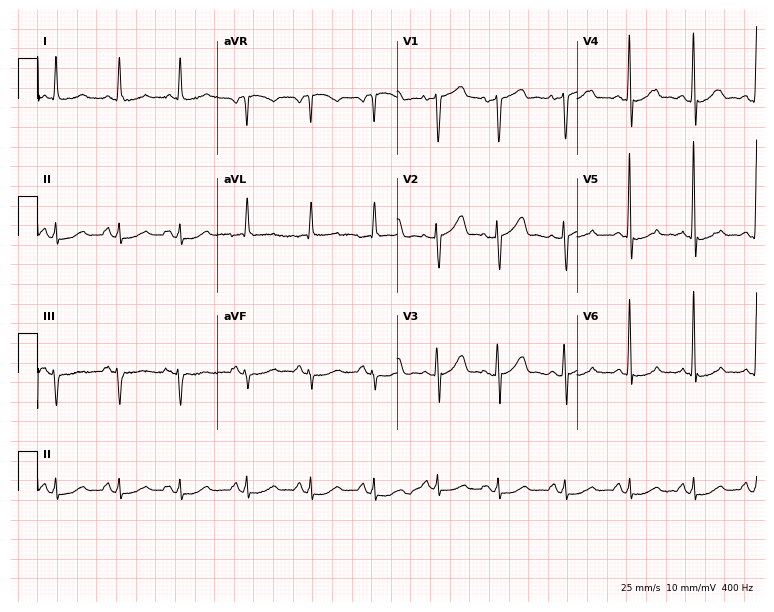
Standard 12-lead ECG recorded from a female, 81 years old (7.3-second recording at 400 Hz). None of these six findings is recorded: first-degree AV block, right bundle branch block, left bundle branch block, sinus bradycardia, atrial fibrillation, sinus tachycardia. Other findings, if any, are not listed.